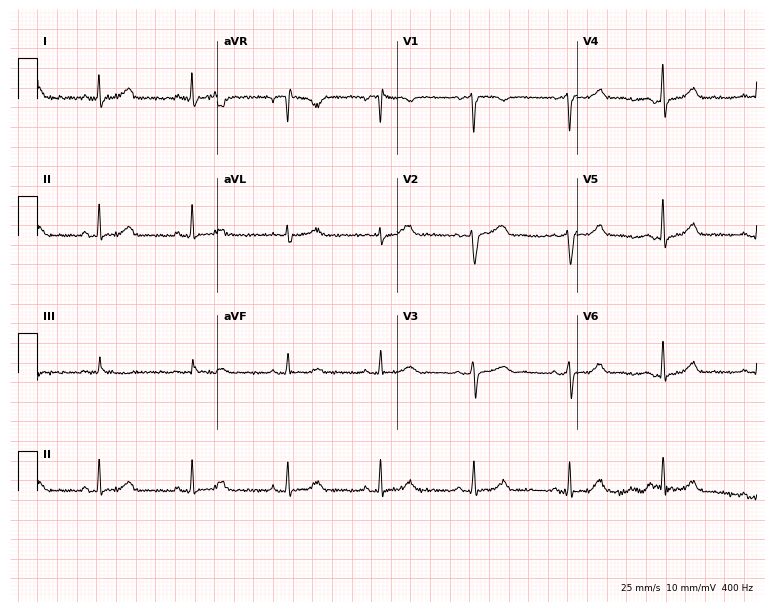
Electrocardiogram, a female, 49 years old. Of the six screened findings (first-degree AV block, right bundle branch block, left bundle branch block, sinus bradycardia, atrial fibrillation, sinus tachycardia), none is recorded.